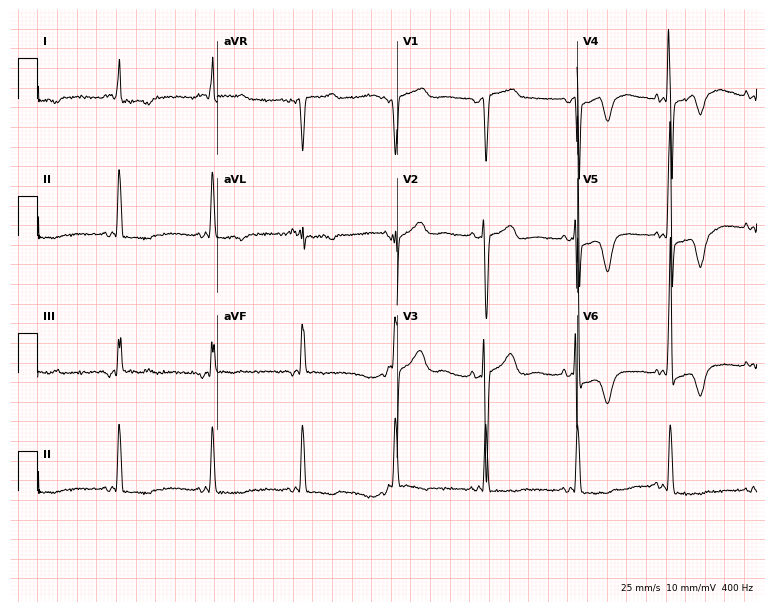
ECG — a 76-year-old woman. Screened for six findings — first-degree AV block, right bundle branch block, left bundle branch block, sinus bradycardia, atrial fibrillation, sinus tachycardia — none is recorded. Other findings, if any, are not listed.